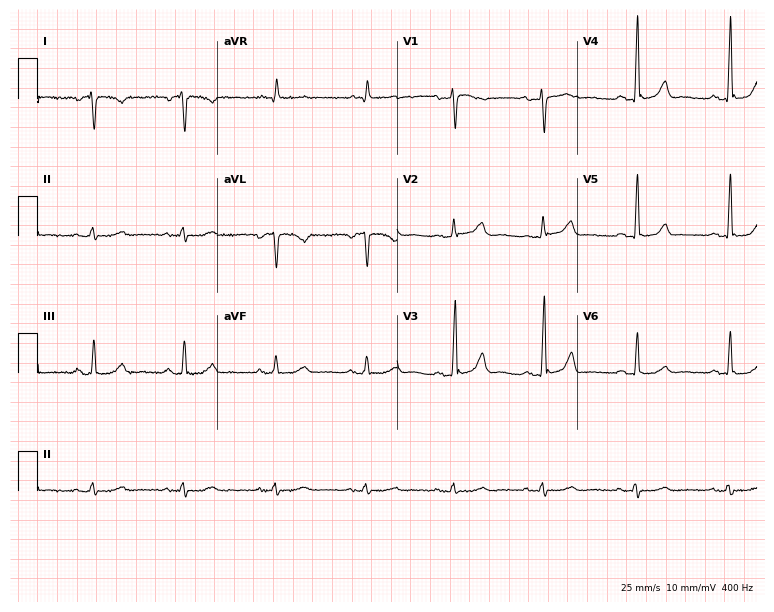
12-lead ECG from a 50-year-old woman (7.3-second recording at 400 Hz). No first-degree AV block, right bundle branch block (RBBB), left bundle branch block (LBBB), sinus bradycardia, atrial fibrillation (AF) or sinus tachycardia recorded for this tracing. Other findings, if any, are not listed.